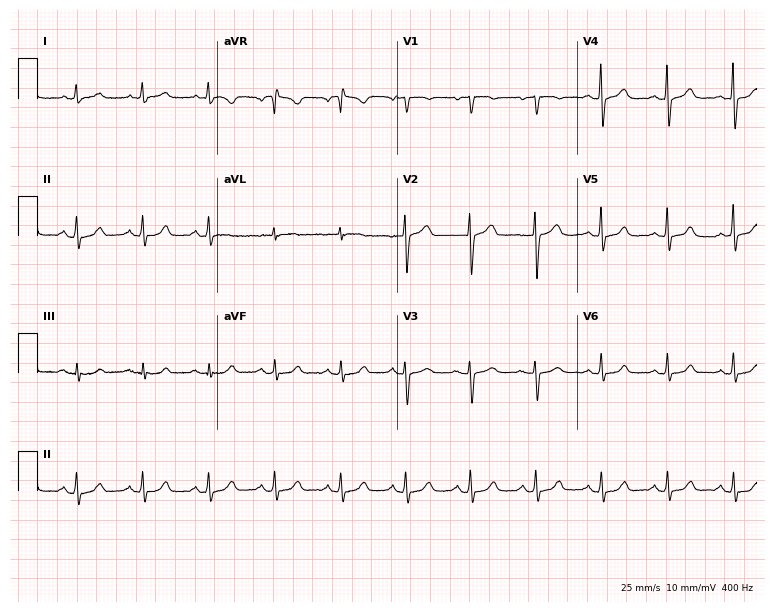
12-lead ECG (7.3-second recording at 400 Hz) from a 66-year-old female. Screened for six findings — first-degree AV block, right bundle branch block, left bundle branch block, sinus bradycardia, atrial fibrillation, sinus tachycardia — none is recorded.